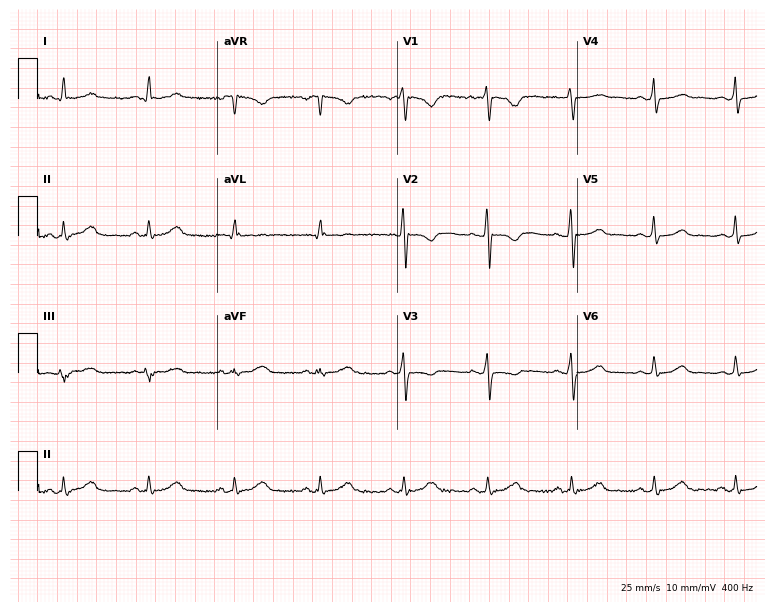
12-lead ECG from a 40-year-old female patient (7.3-second recording at 400 Hz). Recorded interpretation: within normal limits.